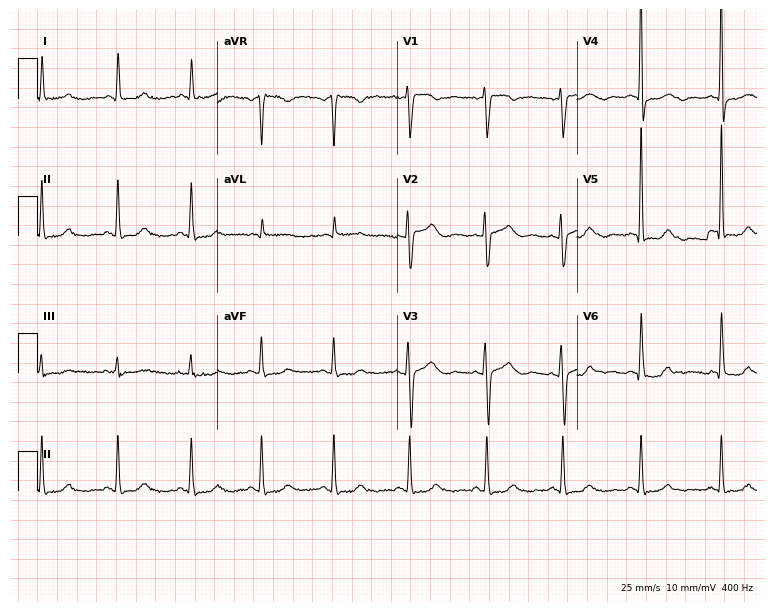
ECG — a 53-year-old woman. Screened for six findings — first-degree AV block, right bundle branch block (RBBB), left bundle branch block (LBBB), sinus bradycardia, atrial fibrillation (AF), sinus tachycardia — none is recorded. Other findings, if any, are not listed.